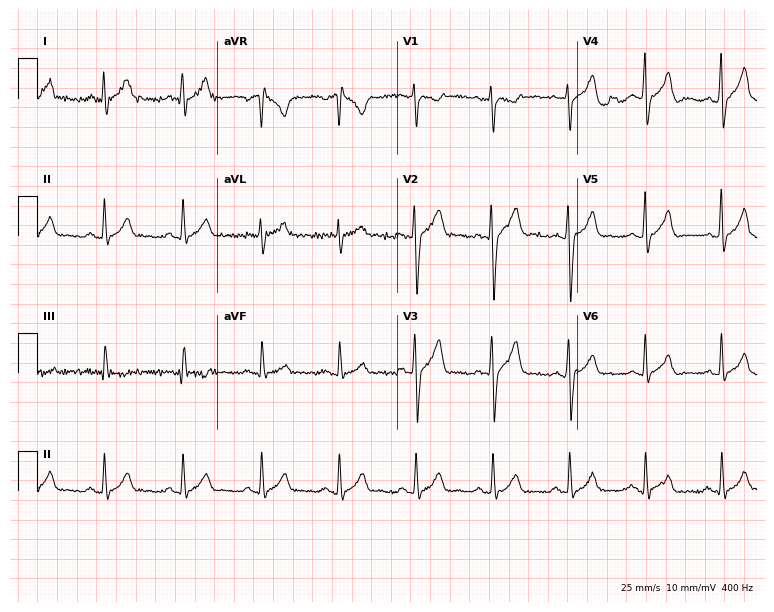
Resting 12-lead electrocardiogram (7.3-second recording at 400 Hz). Patient: a male, 30 years old. Read as a normal ECG.